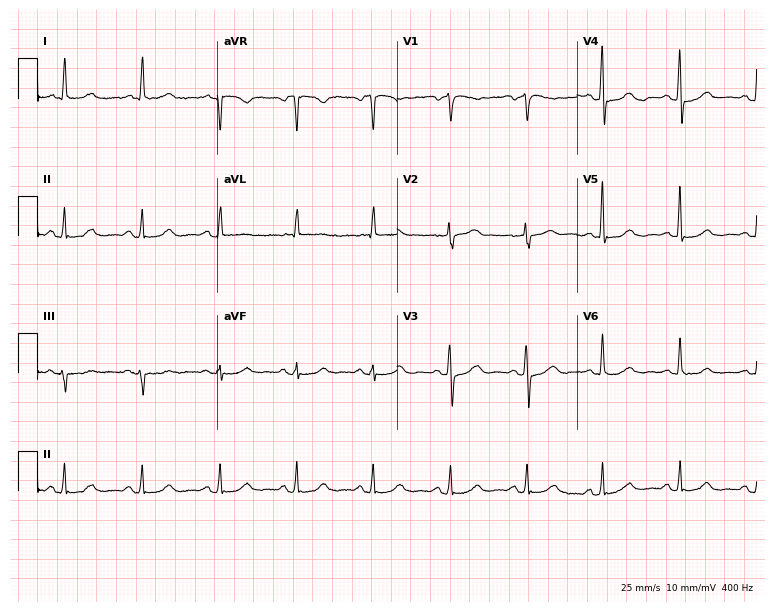
ECG (7.3-second recording at 400 Hz) — a woman, 65 years old. Labelled as a normal ECG.